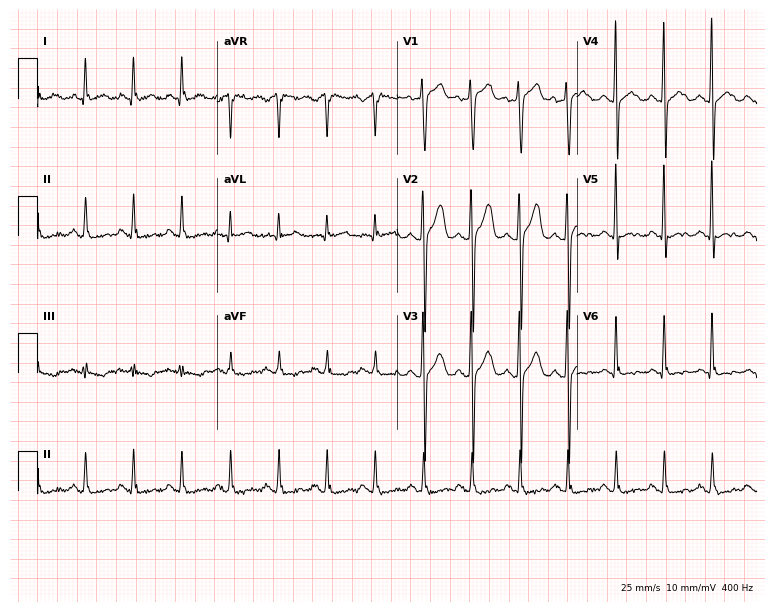
Standard 12-lead ECG recorded from a male, 51 years old. The tracing shows sinus tachycardia (a sinus rate of 100 beats per minute or more).